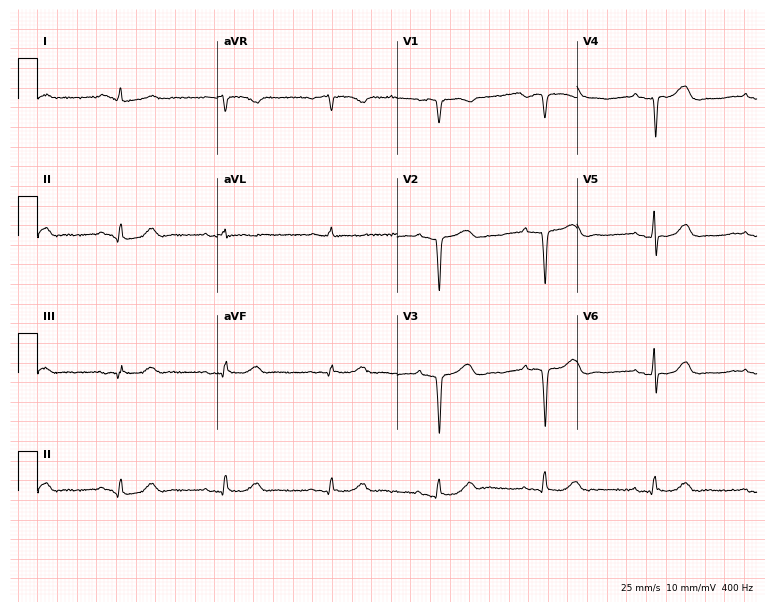
Resting 12-lead electrocardiogram. Patient: a man, 81 years old. None of these six findings is recorded: first-degree AV block, right bundle branch block, left bundle branch block, sinus bradycardia, atrial fibrillation, sinus tachycardia. Findings outside these six are not listed.